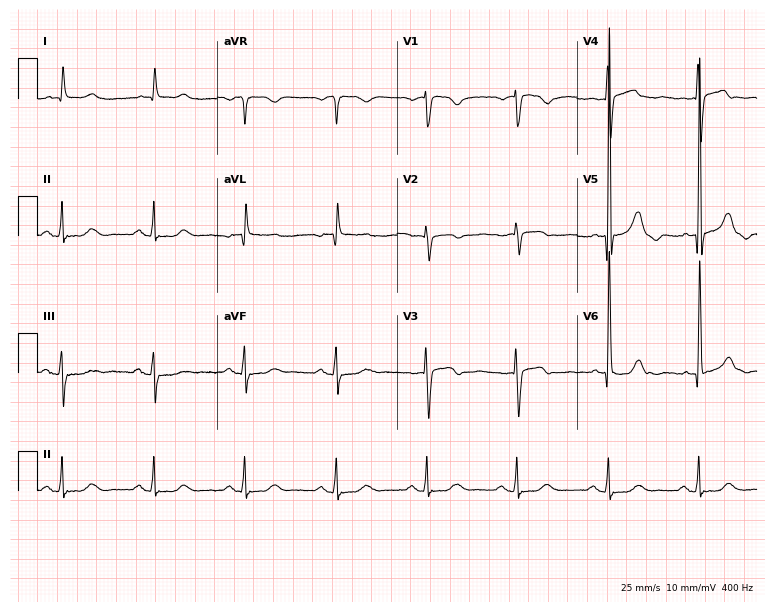
Standard 12-lead ECG recorded from a 78-year-old female patient (7.3-second recording at 400 Hz). None of these six findings is recorded: first-degree AV block, right bundle branch block (RBBB), left bundle branch block (LBBB), sinus bradycardia, atrial fibrillation (AF), sinus tachycardia. Only these six findings were labelled.